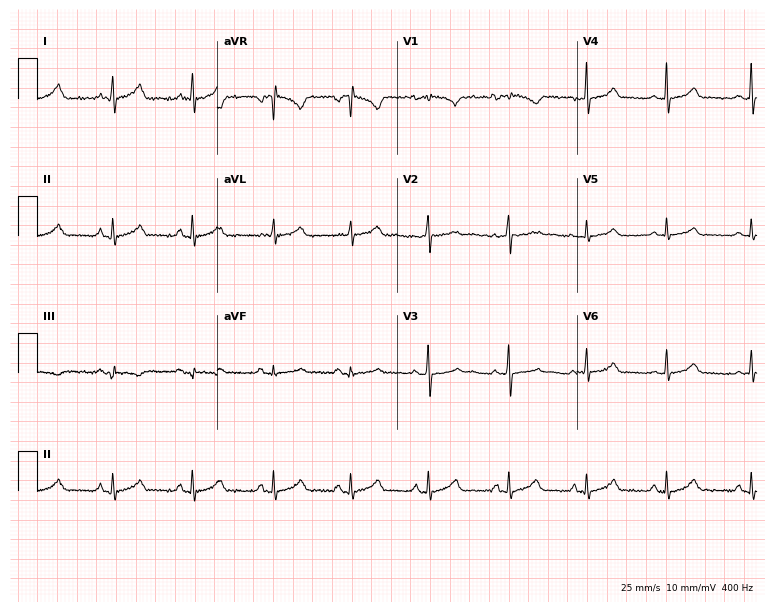
12-lead ECG from a 34-year-old female patient. Recorded interpretation: within normal limits.